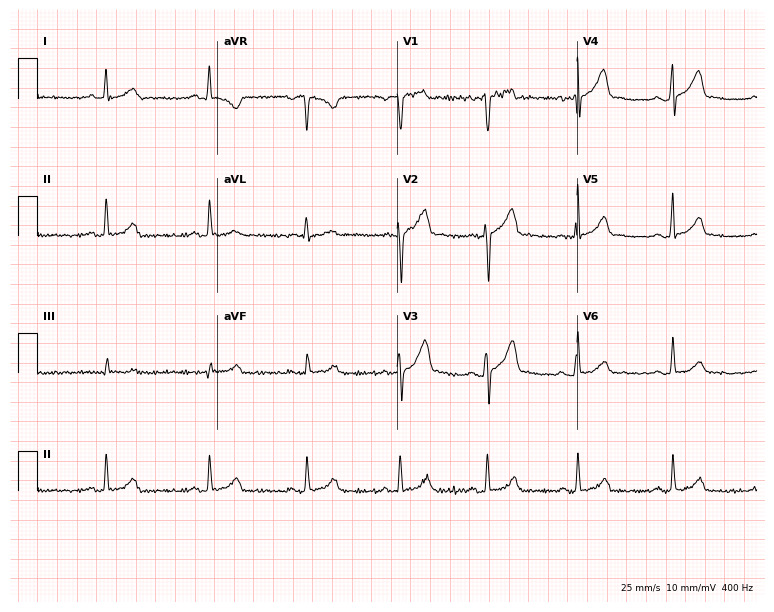
12-lead ECG from a male patient, 23 years old. Recorded interpretation: within normal limits.